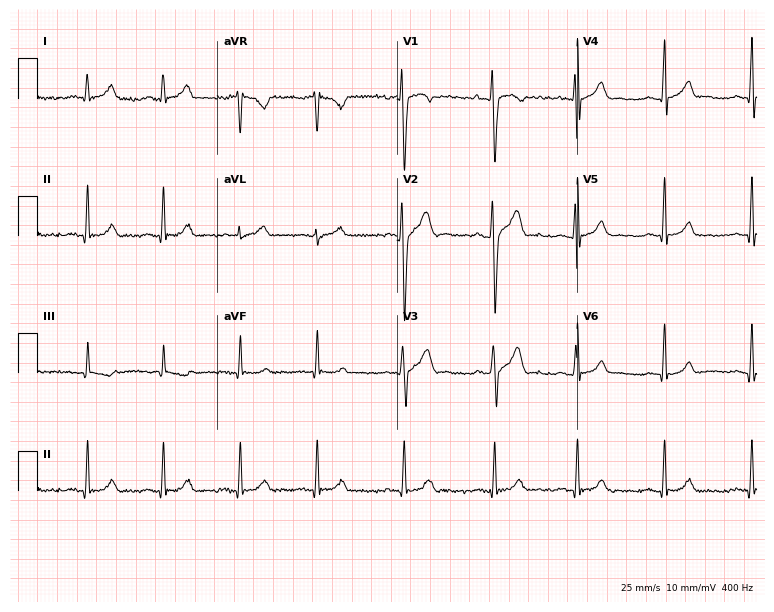
12-lead ECG from a 26-year-old male patient. Labelled as a normal ECG.